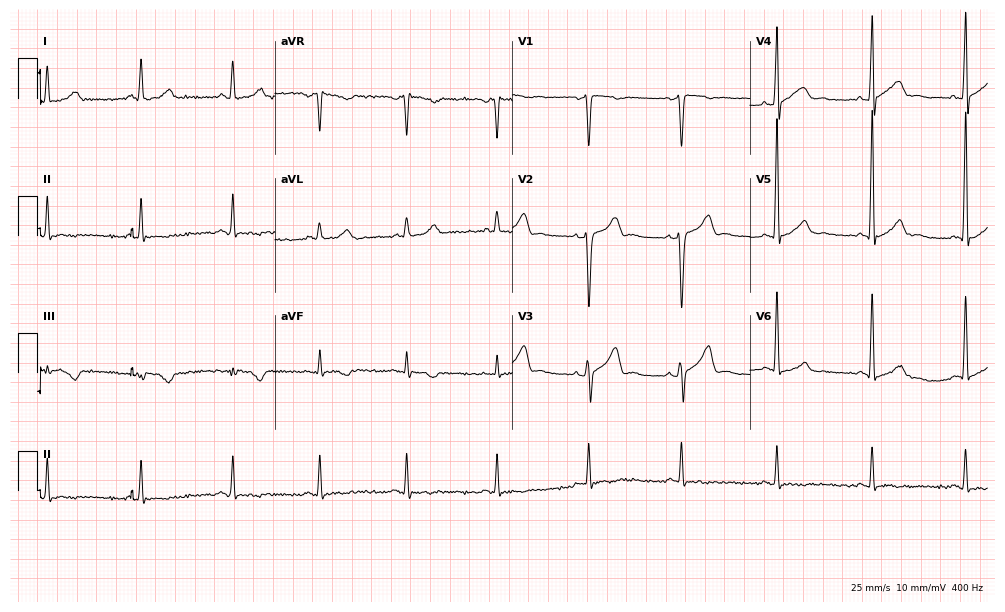
Electrocardiogram (9.7-second recording at 400 Hz), a man, 44 years old. Of the six screened findings (first-degree AV block, right bundle branch block (RBBB), left bundle branch block (LBBB), sinus bradycardia, atrial fibrillation (AF), sinus tachycardia), none is recorded.